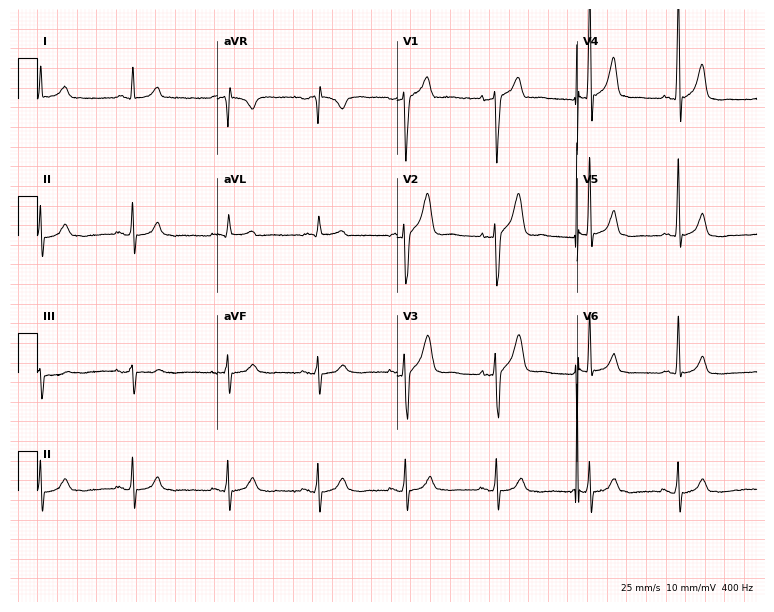
Electrocardiogram (7.3-second recording at 400 Hz), a man, 43 years old. Overall reading on record: normal ECG.